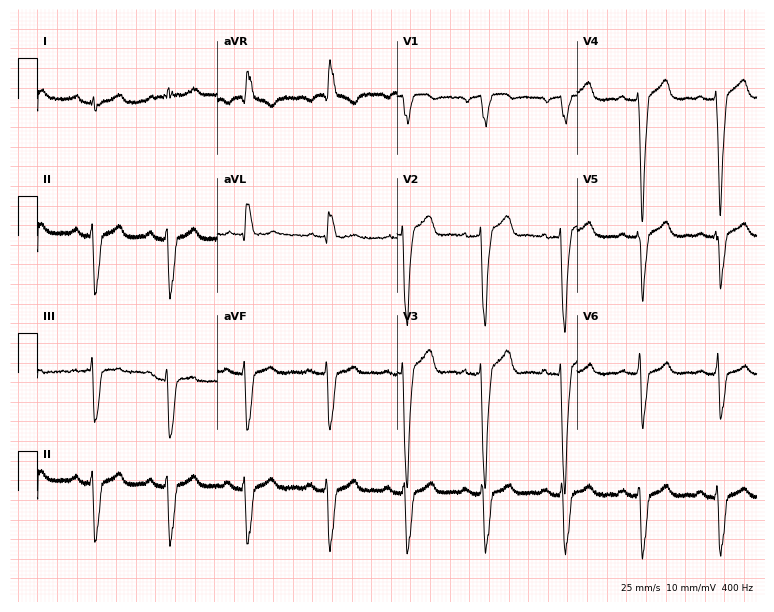
12-lead ECG from a 65-year-old male patient. No first-degree AV block, right bundle branch block (RBBB), left bundle branch block (LBBB), sinus bradycardia, atrial fibrillation (AF) or sinus tachycardia recorded for this tracing. Findings outside these six are not listed.